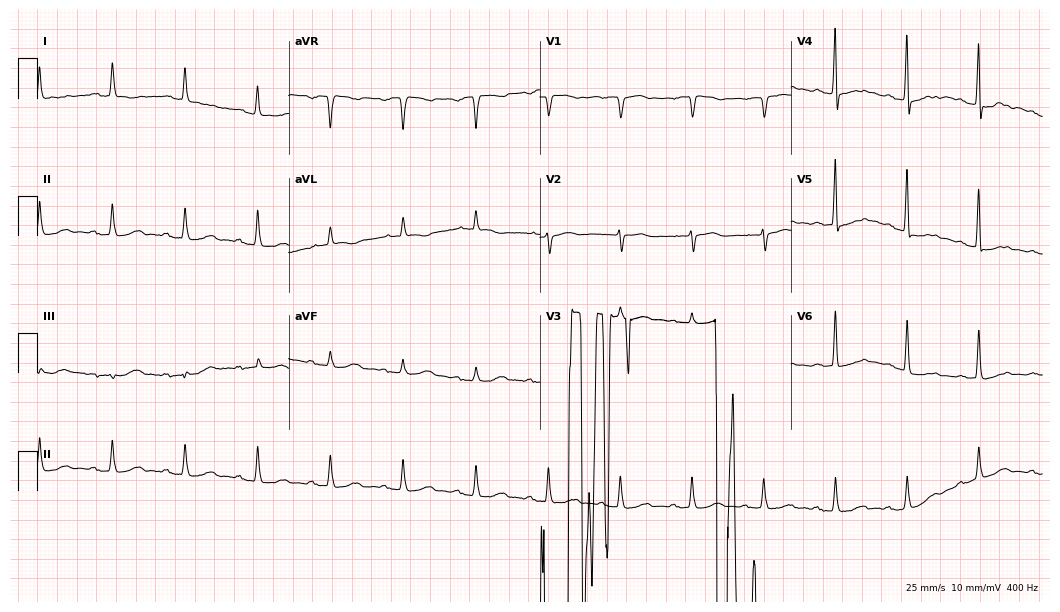
Resting 12-lead electrocardiogram. Patient: an 81-year-old female. None of these six findings is recorded: first-degree AV block, right bundle branch block, left bundle branch block, sinus bradycardia, atrial fibrillation, sinus tachycardia.